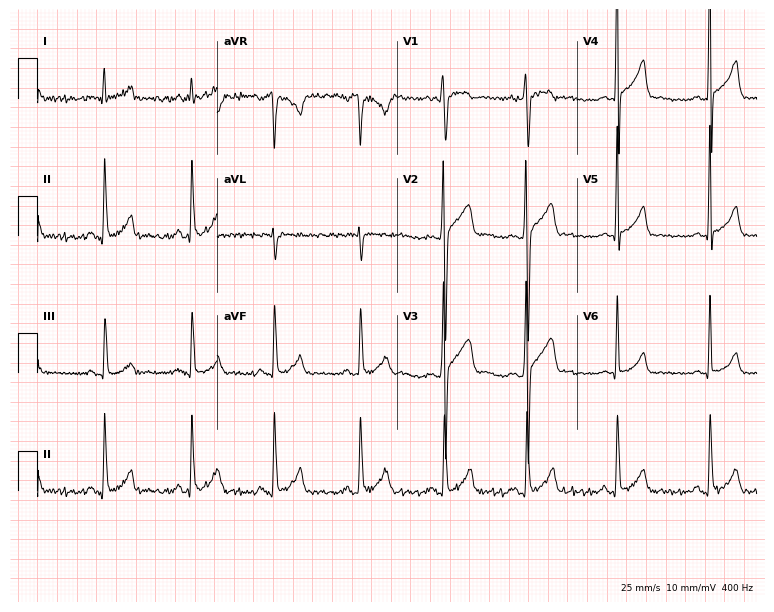
12-lead ECG (7.3-second recording at 400 Hz) from a 21-year-old man. Screened for six findings — first-degree AV block, right bundle branch block (RBBB), left bundle branch block (LBBB), sinus bradycardia, atrial fibrillation (AF), sinus tachycardia — none is recorded. Findings outside these six are not listed.